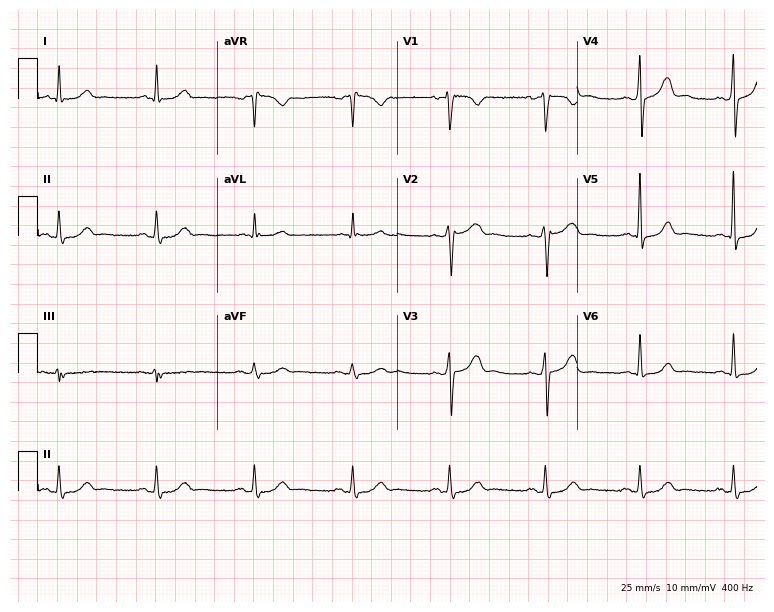
Resting 12-lead electrocardiogram (7.3-second recording at 400 Hz). Patient: a female, 53 years old. None of these six findings is recorded: first-degree AV block, right bundle branch block (RBBB), left bundle branch block (LBBB), sinus bradycardia, atrial fibrillation (AF), sinus tachycardia. Only these six findings were labelled.